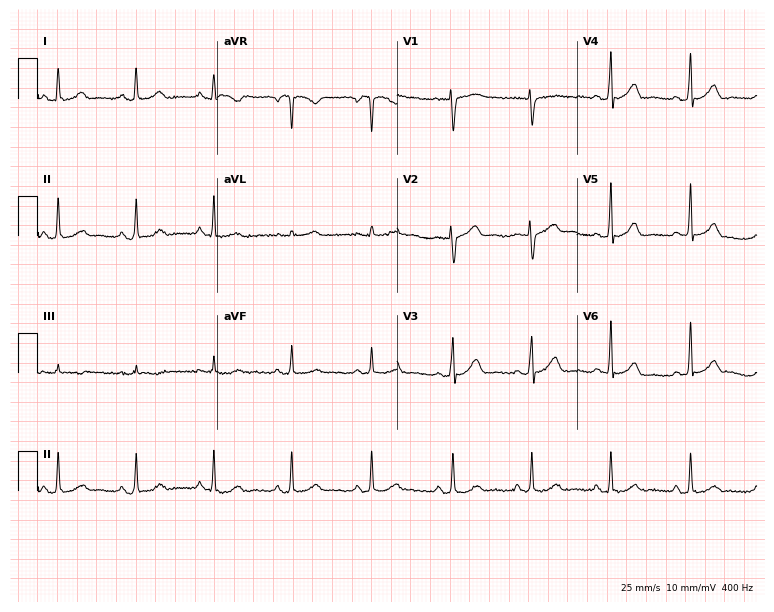
12-lead ECG from a 35-year-old female patient. Recorded interpretation: within normal limits.